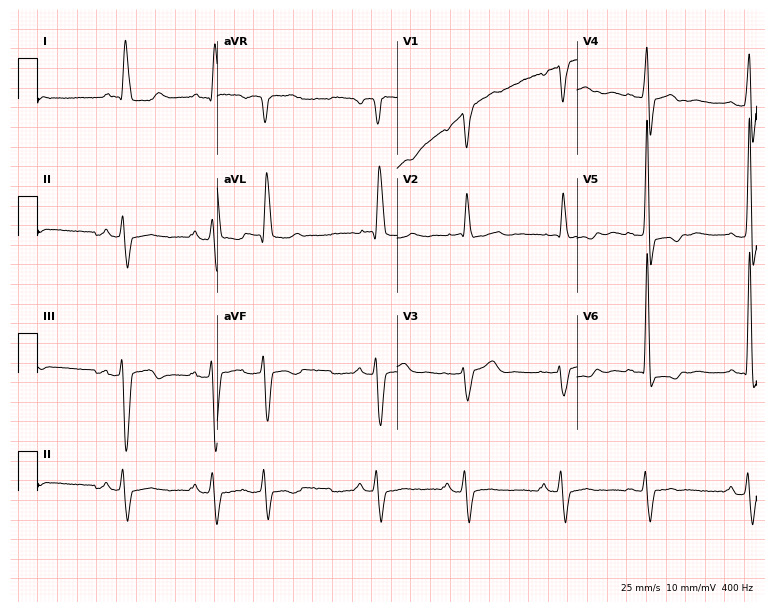
Electrocardiogram, a male, 79 years old. Of the six screened findings (first-degree AV block, right bundle branch block (RBBB), left bundle branch block (LBBB), sinus bradycardia, atrial fibrillation (AF), sinus tachycardia), none is recorded. Other findings, if any, are not listed.